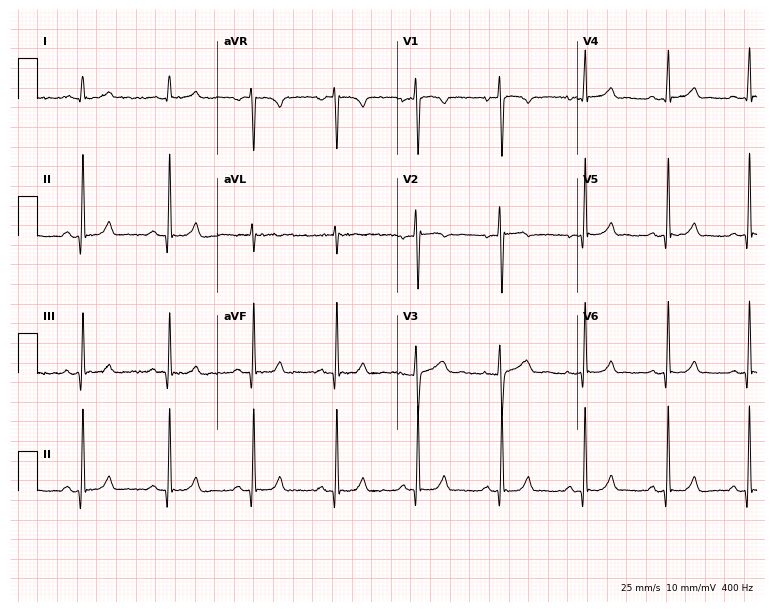
Standard 12-lead ECG recorded from a 31-year-old female. Read as a normal ECG.